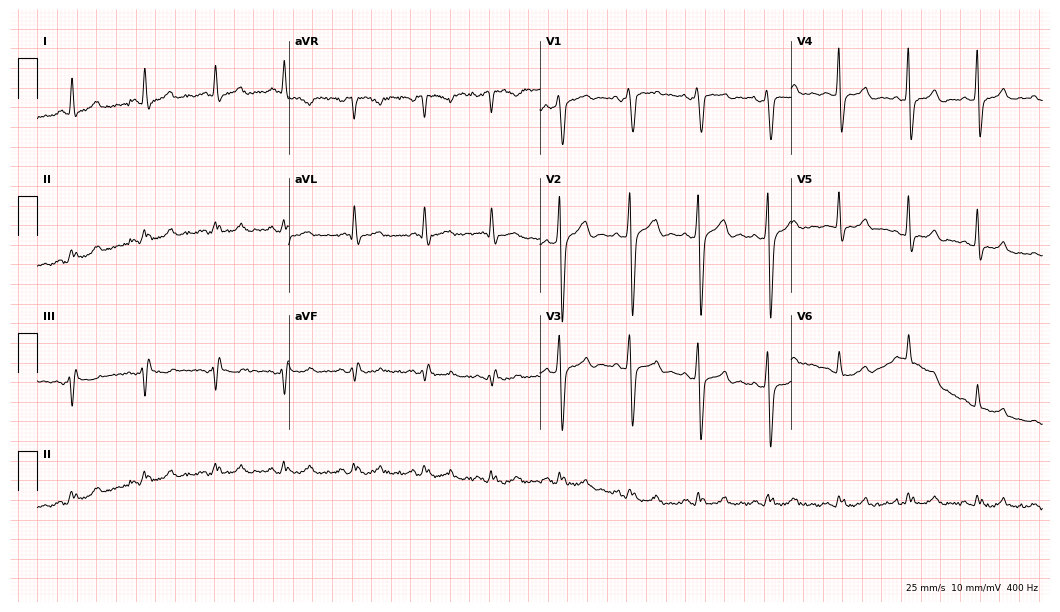
12-lead ECG from a male patient, 36 years old. No first-degree AV block, right bundle branch block (RBBB), left bundle branch block (LBBB), sinus bradycardia, atrial fibrillation (AF) or sinus tachycardia recorded for this tracing. Findings outside these six are not listed.